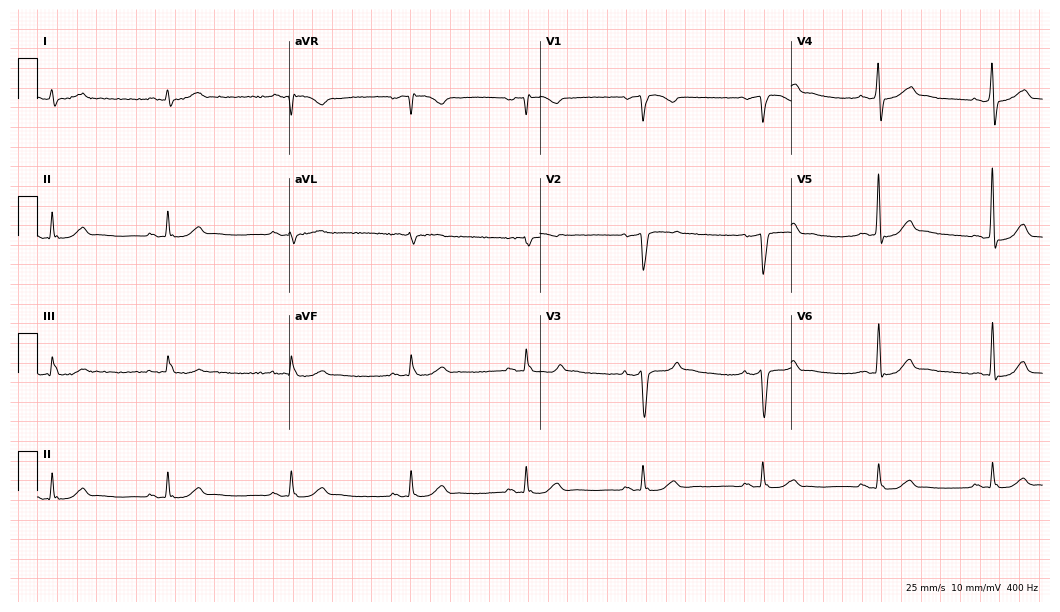
12-lead ECG from a man, 59 years old (10.2-second recording at 400 Hz). Shows sinus bradycardia (a sinus rate of 50 beats per minute or less).